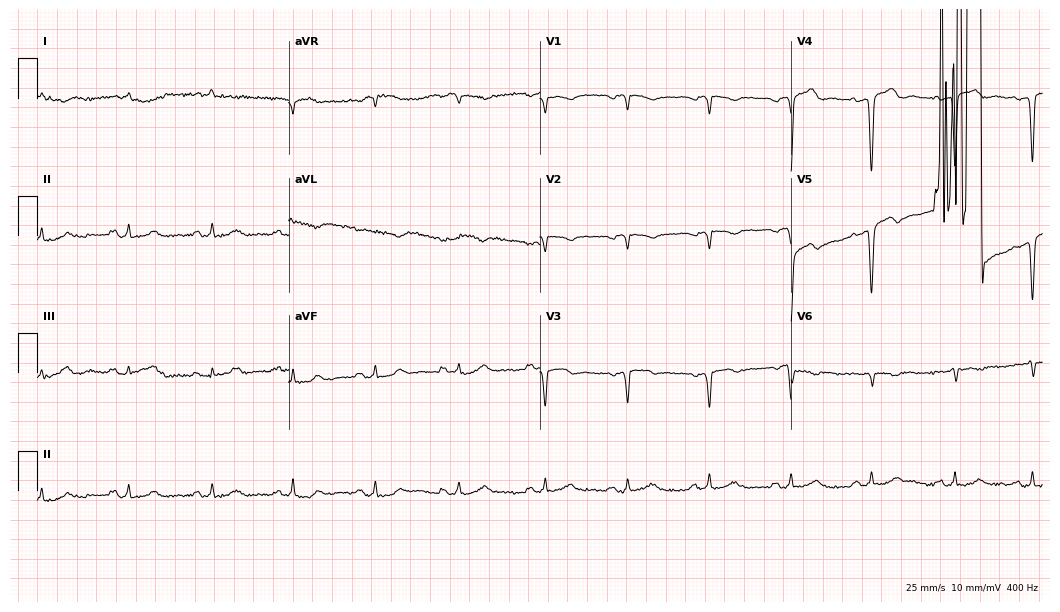
Standard 12-lead ECG recorded from a man, 73 years old. None of these six findings is recorded: first-degree AV block, right bundle branch block (RBBB), left bundle branch block (LBBB), sinus bradycardia, atrial fibrillation (AF), sinus tachycardia. Only these six findings were labelled.